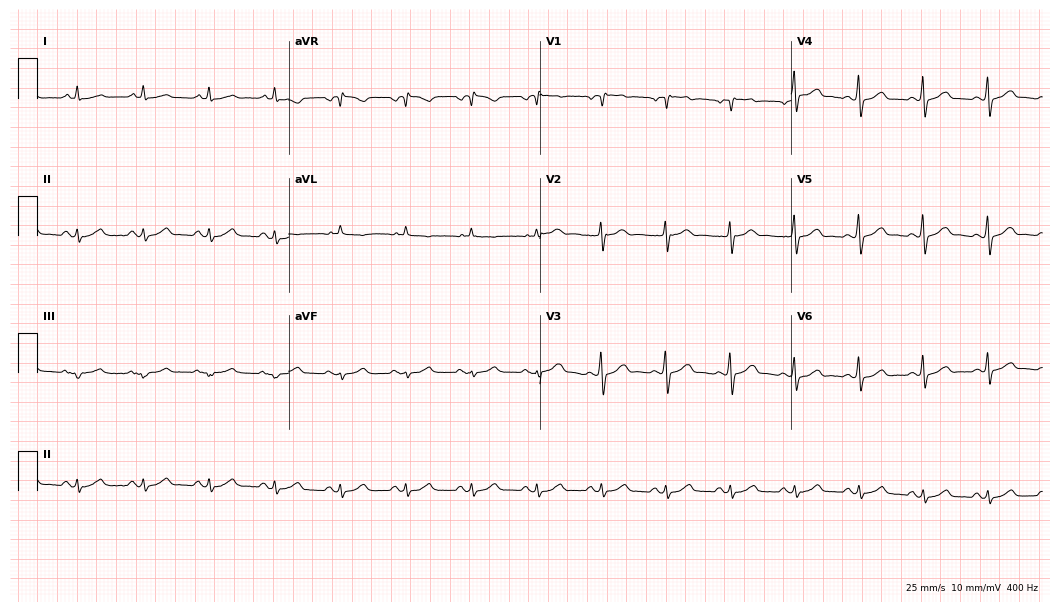
12-lead ECG (10.2-second recording at 400 Hz) from a male patient, 57 years old. Labelled as a normal ECG.